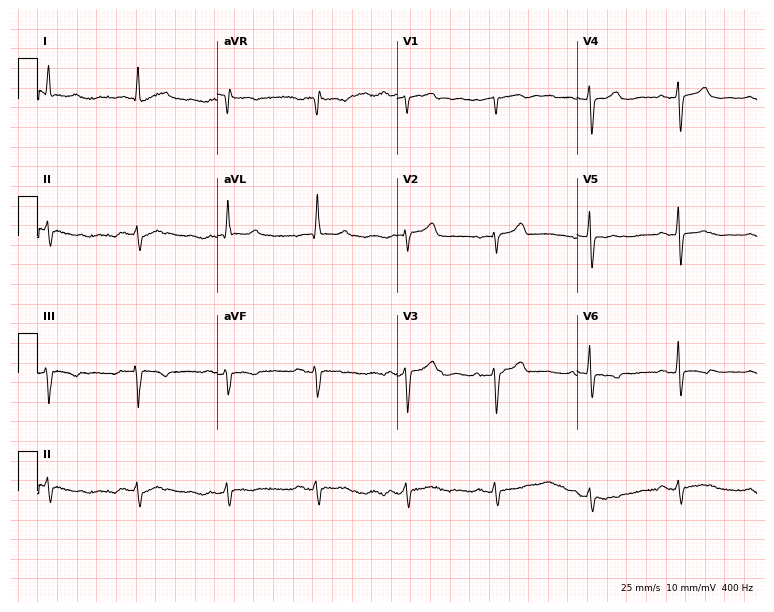
12-lead ECG from a female patient, 85 years old (7.3-second recording at 400 Hz). No first-degree AV block, right bundle branch block (RBBB), left bundle branch block (LBBB), sinus bradycardia, atrial fibrillation (AF) or sinus tachycardia recorded for this tracing.